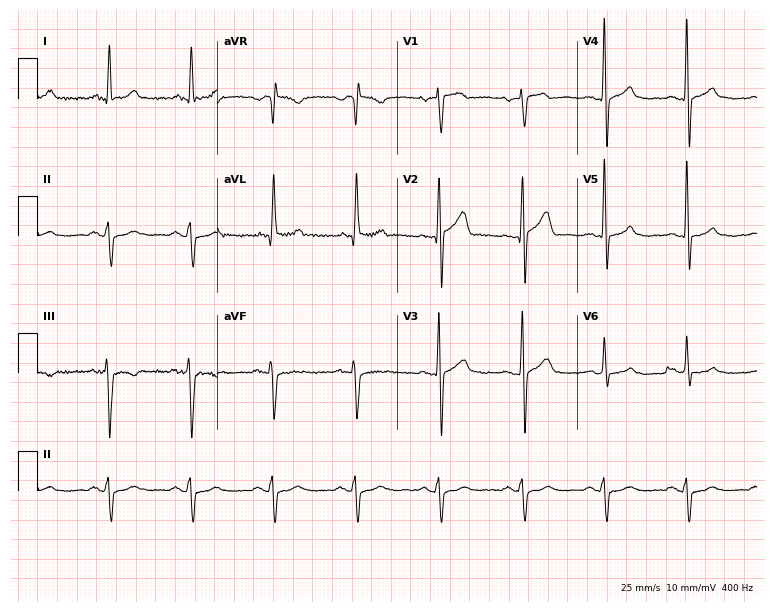
12-lead ECG from a 58-year-old male patient. Screened for six findings — first-degree AV block, right bundle branch block, left bundle branch block, sinus bradycardia, atrial fibrillation, sinus tachycardia — none is recorded. Only these six findings were labelled.